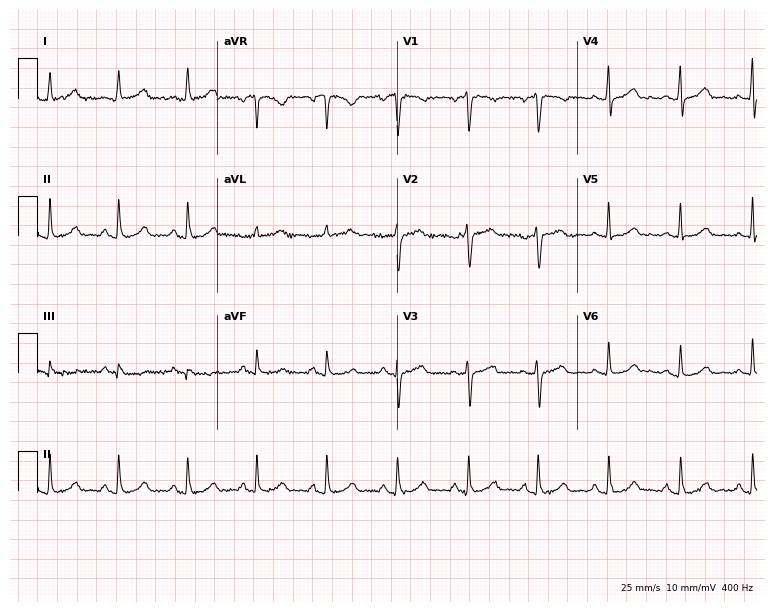
ECG — a female, 37 years old. Labelled as a normal ECG.